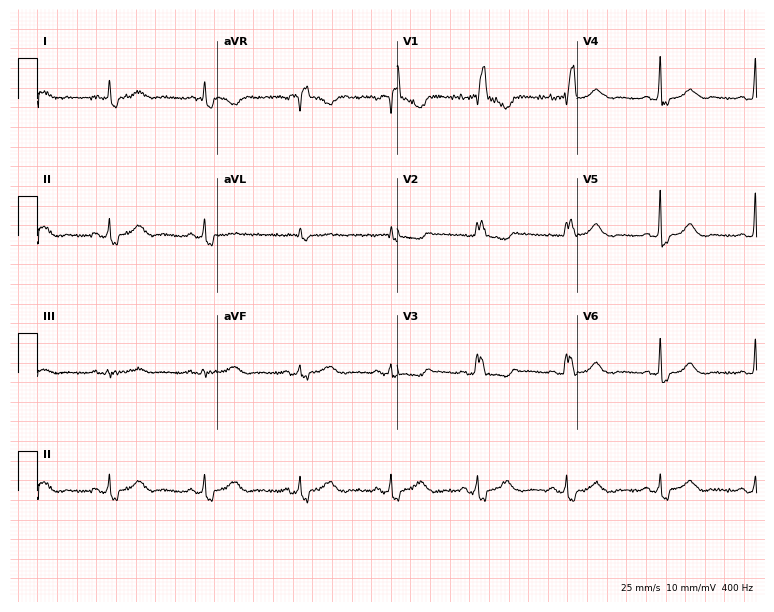
Resting 12-lead electrocardiogram. Patient: a female, 58 years old. The tracing shows right bundle branch block.